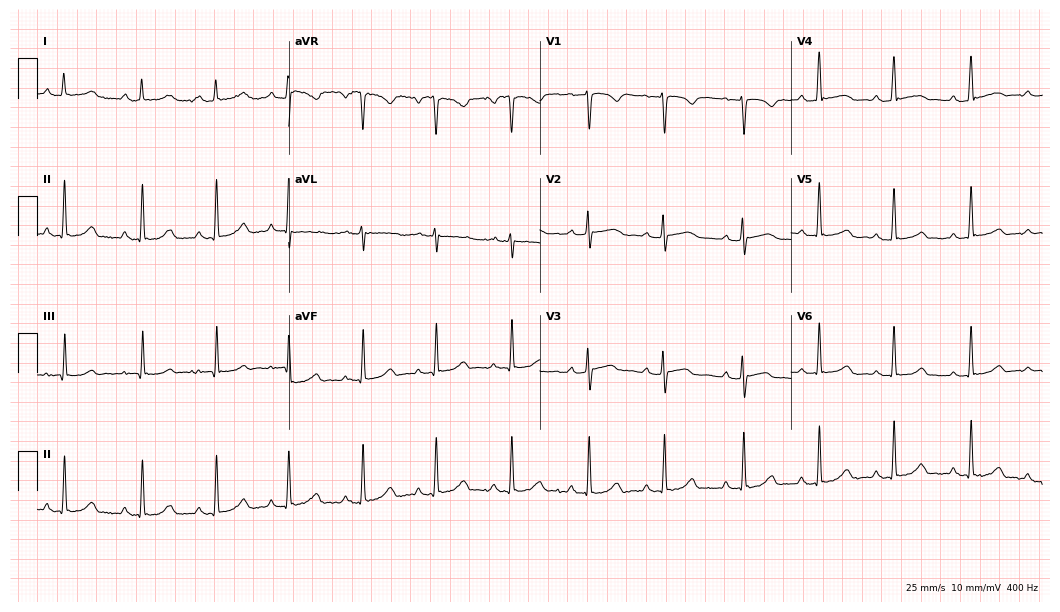
12-lead ECG from a 23-year-old woman. No first-degree AV block, right bundle branch block, left bundle branch block, sinus bradycardia, atrial fibrillation or sinus tachycardia recorded for this tracing.